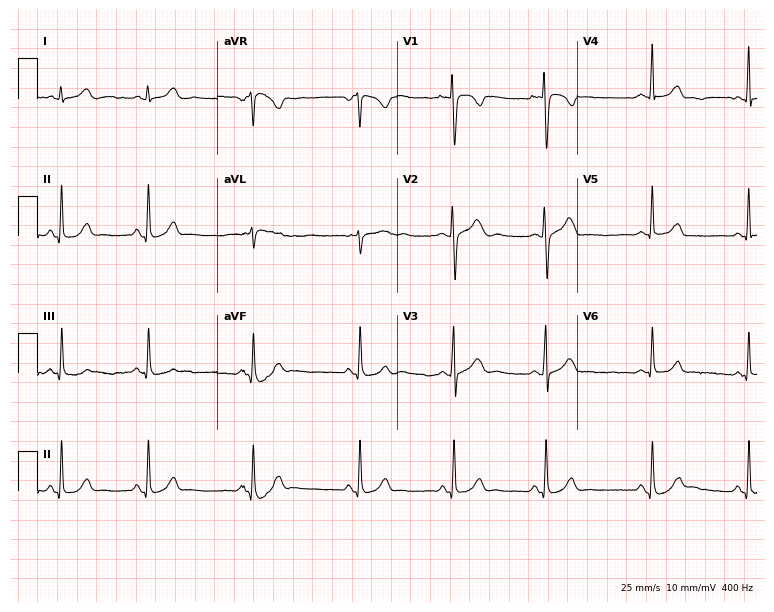
12-lead ECG (7.3-second recording at 400 Hz) from a 21-year-old female. Screened for six findings — first-degree AV block, right bundle branch block, left bundle branch block, sinus bradycardia, atrial fibrillation, sinus tachycardia — none is recorded.